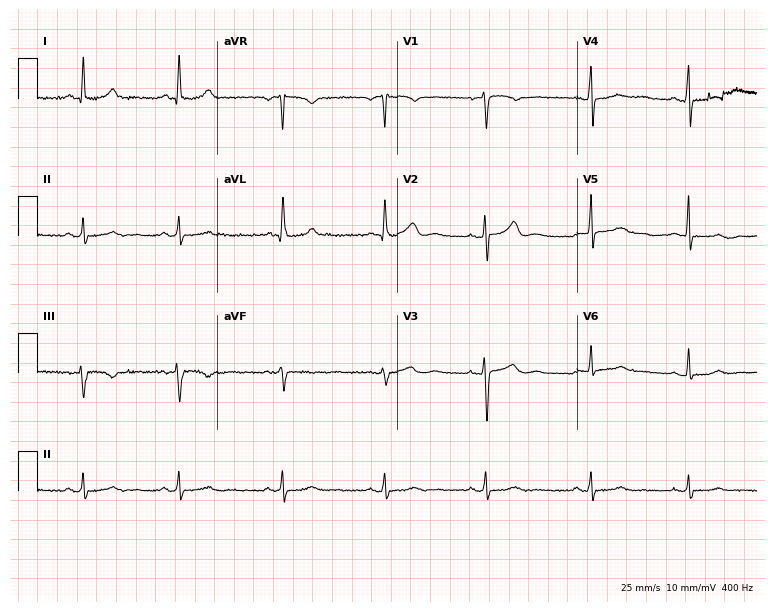
Electrocardiogram (7.3-second recording at 400 Hz), a woman, 53 years old. Of the six screened findings (first-degree AV block, right bundle branch block (RBBB), left bundle branch block (LBBB), sinus bradycardia, atrial fibrillation (AF), sinus tachycardia), none is recorded. Only these six findings were labelled.